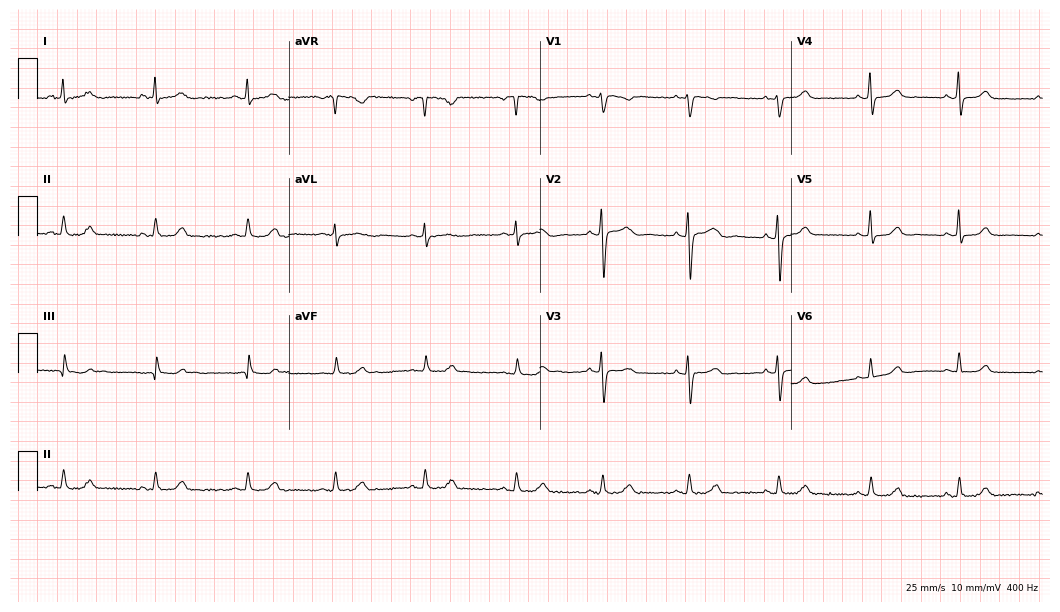
Electrocardiogram (10.2-second recording at 400 Hz), a 40-year-old female. Of the six screened findings (first-degree AV block, right bundle branch block, left bundle branch block, sinus bradycardia, atrial fibrillation, sinus tachycardia), none is recorded.